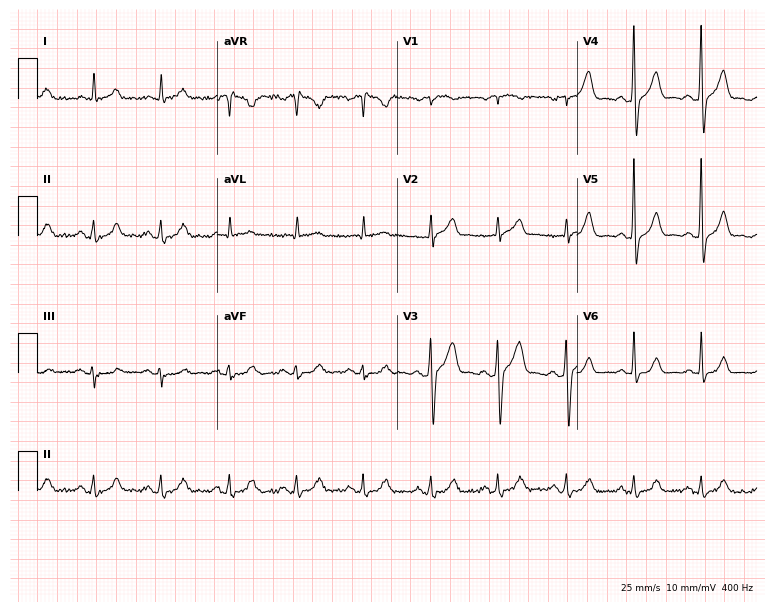
Resting 12-lead electrocardiogram (7.3-second recording at 400 Hz). Patient: a male, 58 years old. Read as a normal ECG.